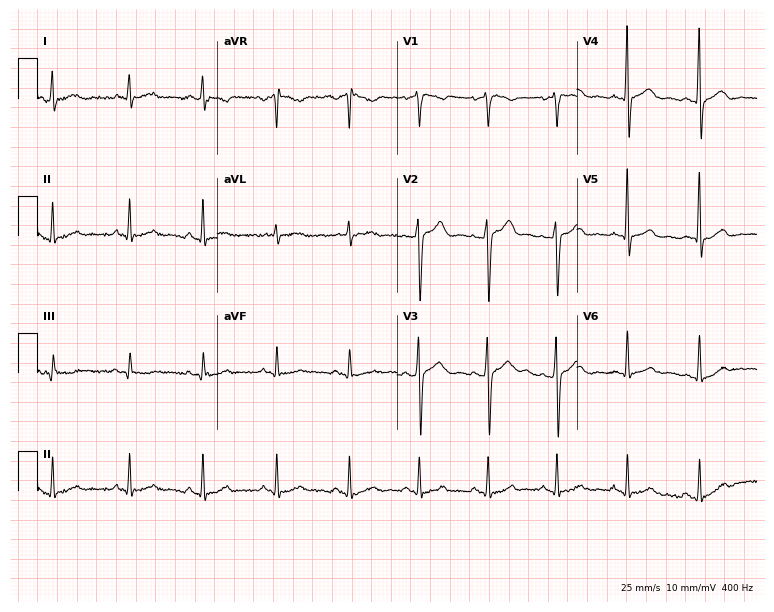
Resting 12-lead electrocardiogram. Patient: a male, 38 years old. None of these six findings is recorded: first-degree AV block, right bundle branch block, left bundle branch block, sinus bradycardia, atrial fibrillation, sinus tachycardia.